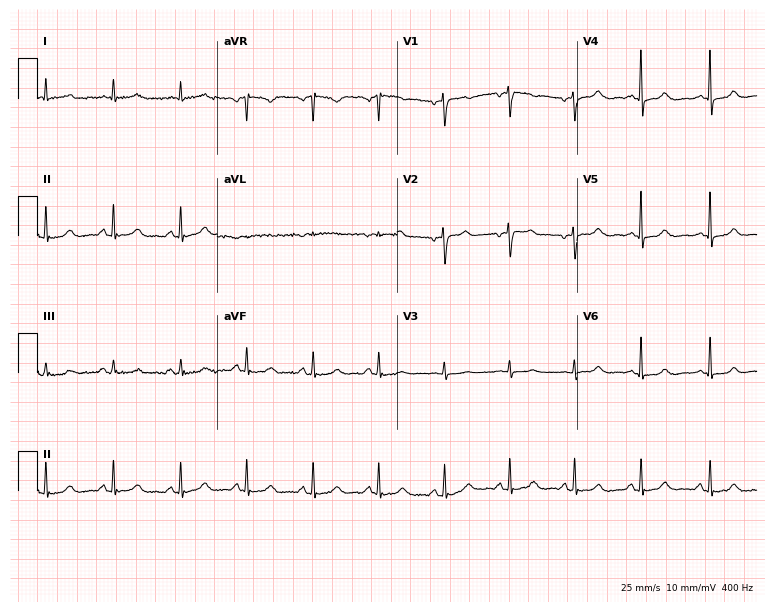
12-lead ECG from a 52-year-old female. Screened for six findings — first-degree AV block, right bundle branch block, left bundle branch block, sinus bradycardia, atrial fibrillation, sinus tachycardia — none is recorded. Findings outside these six are not listed.